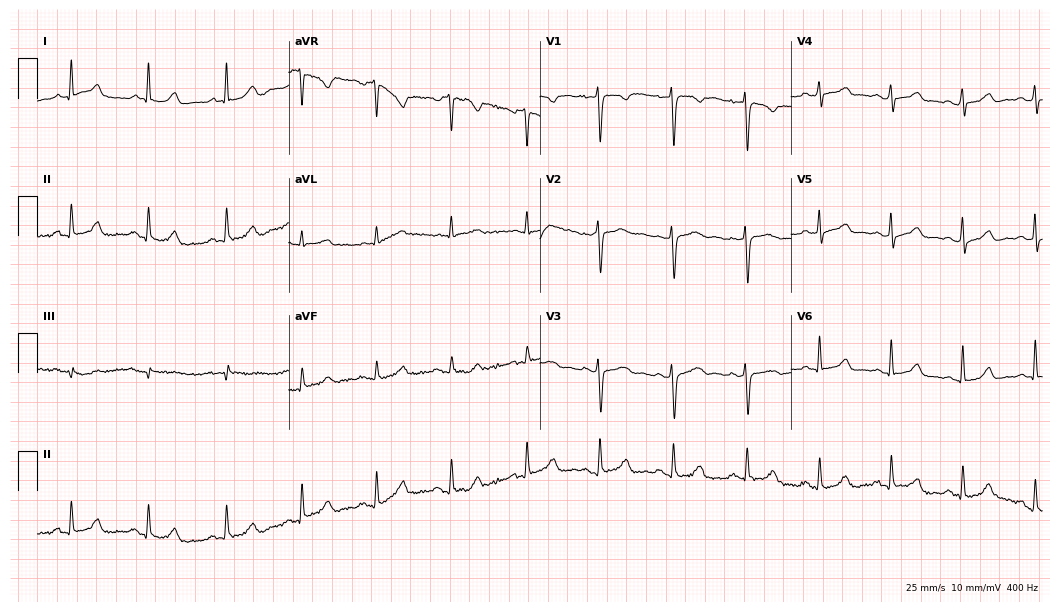
12-lead ECG from a 46-year-old female patient (10.2-second recording at 400 Hz). Recorded interpretation: within normal limits.